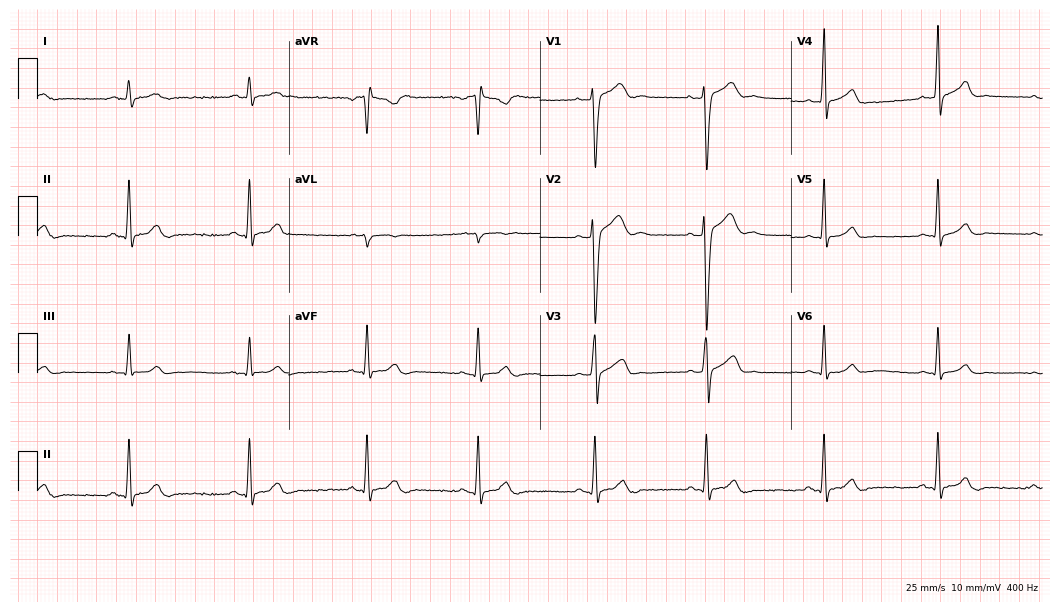
Resting 12-lead electrocardiogram. Patient: a 17-year-old man. Read as a normal ECG.